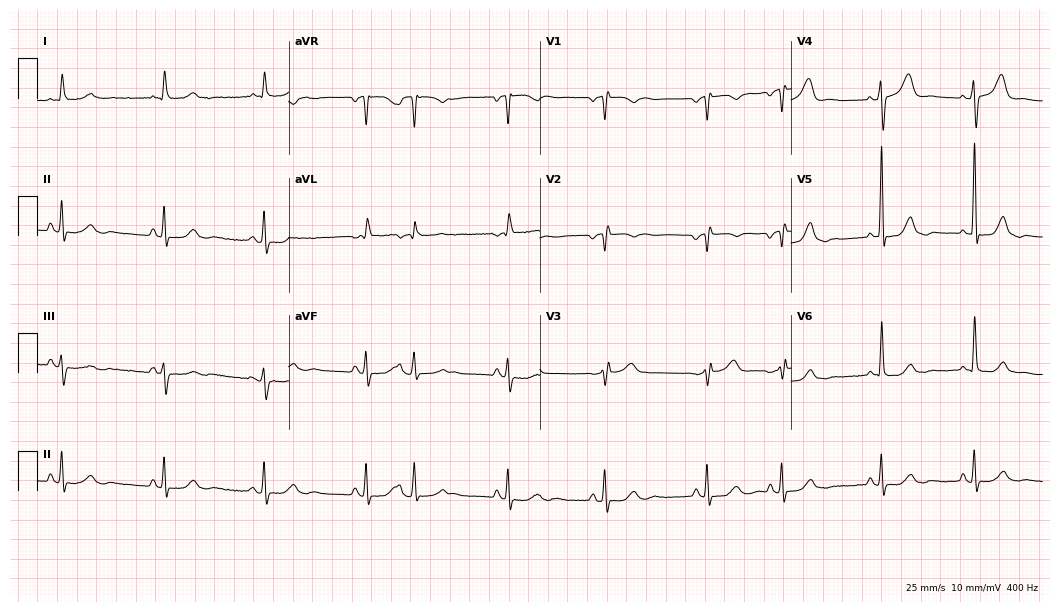
ECG (10.2-second recording at 400 Hz) — a female patient, 77 years old. Screened for six findings — first-degree AV block, right bundle branch block (RBBB), left bundle branch block (LBBB), sinus bradycardia, atrial fibrillation (AF), sinus tachycardia — none is recorded. Only these six findings were labelled.